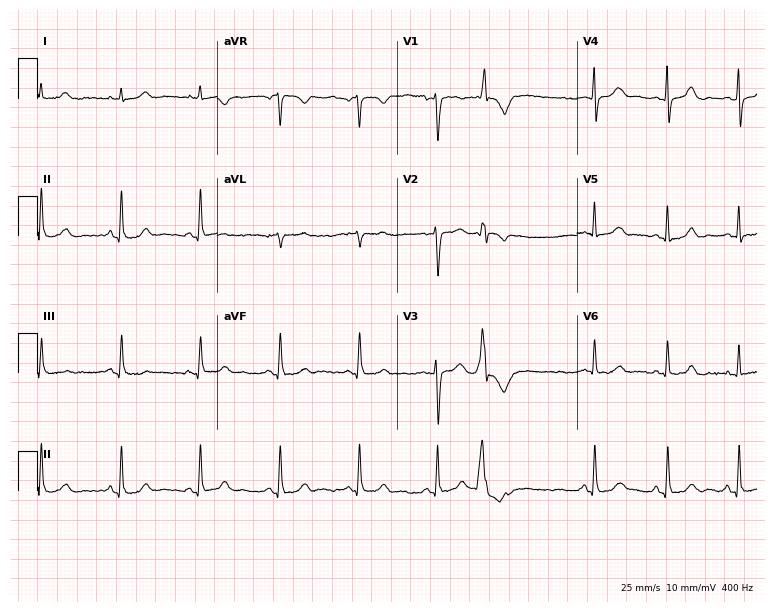
12-lead ECG (7.3-second recording at 400 Hz) from a female, 57 years old. Screened for six findings — first-degree AV block, right bundle branch block, left bundle branch block, sinus bradycardia, atrial fibrillation, sinus tachycardia — none is recorded.